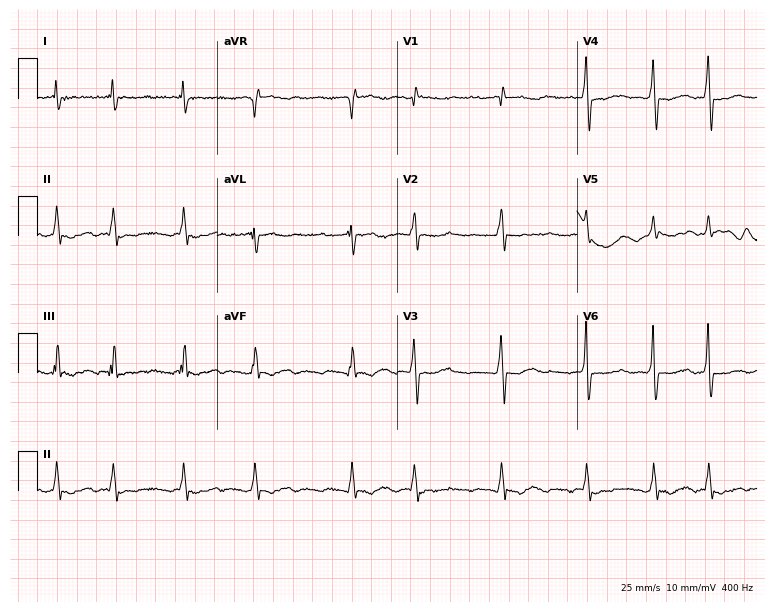
Resting 12-lead electrocardiogram. Patient: a female, 49 years old. The tracing shows atrial fibrillation.